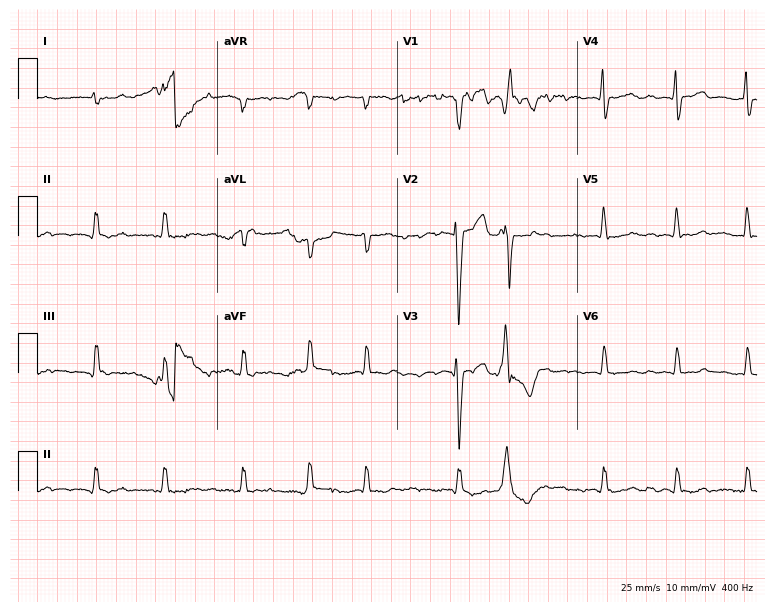
Electrocardiogram, a male, 81 years old. Interpretation includes atrial fibrillation.